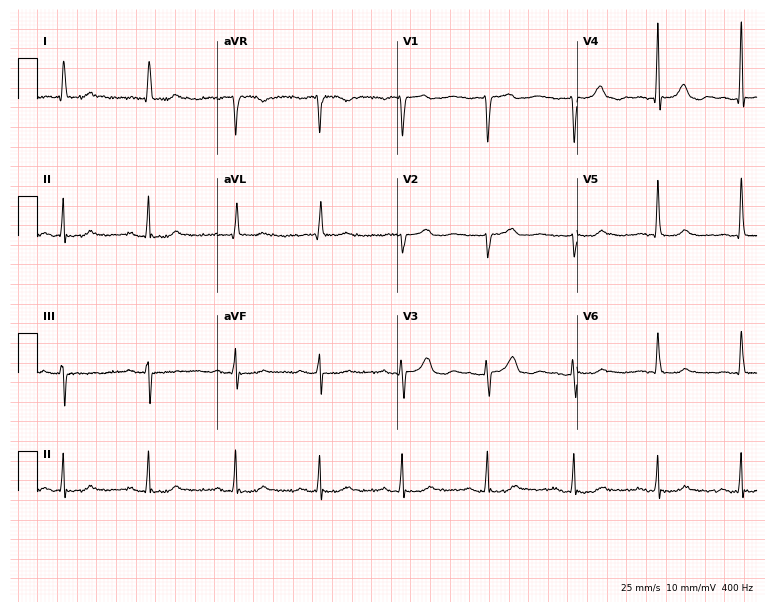
12-lead ECG (7.3-second recording at 400 Hz) from a female, 76 years old. Screened for six findings — first-degree AV block, right bundle branch block, left bundle branch block, sinus bradycardia, atrial fibrillation, sinus tachycardia — none is recorded.